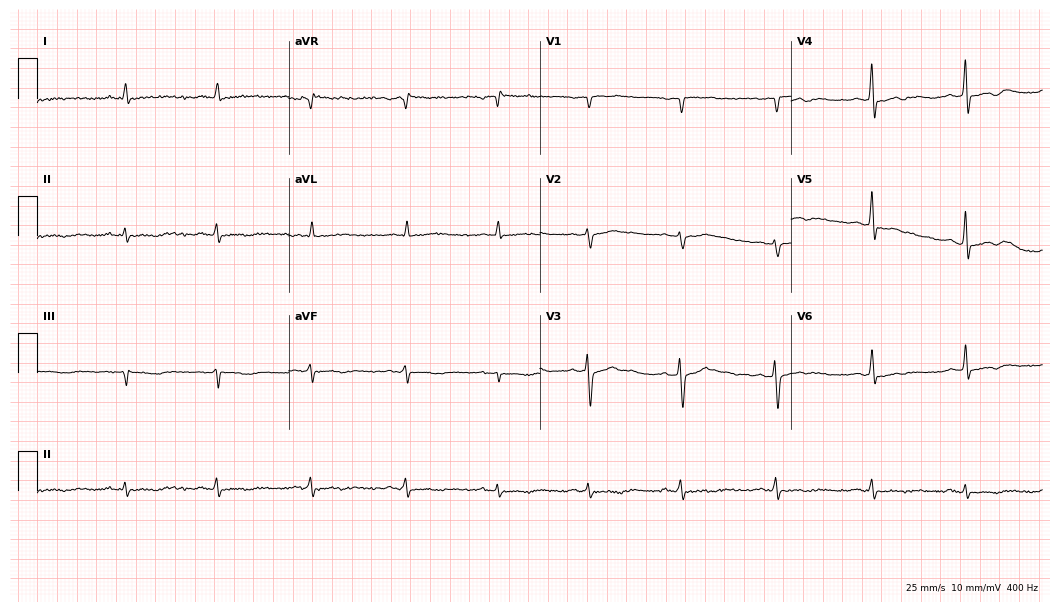
12-lead ECG from a 55-year-old man (10.2-second recording at 400 Hz). No first-degree AV block, right bundle branch block, left bundle branch block, sinus bradycardia, atrial fibrillation or sinus tachycardia recorded for this tracing.